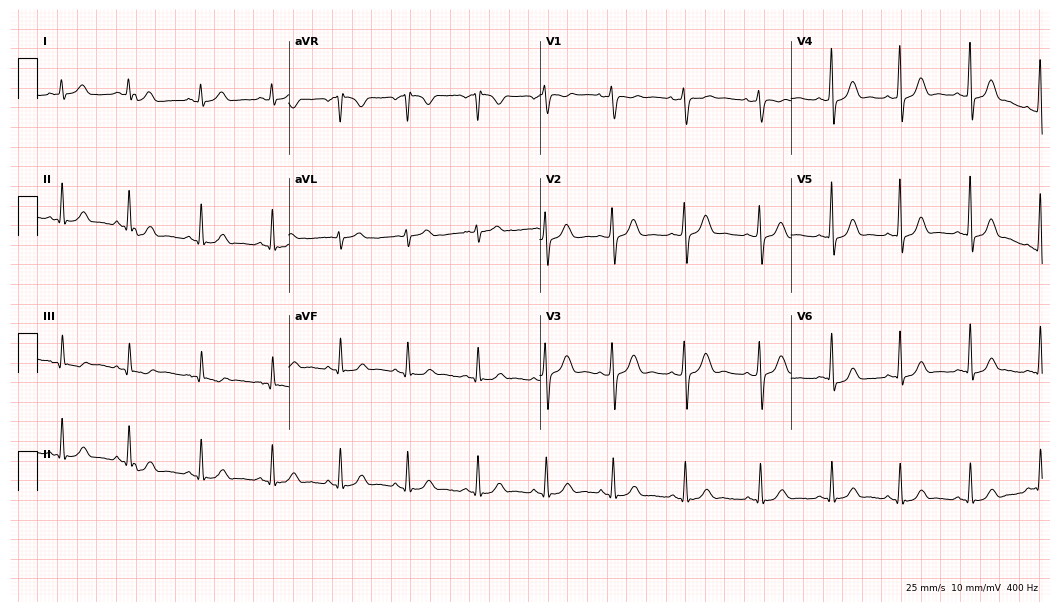
Resting 12-lead electrocardiogram (10.2-second recording at 400 Hz). Patient: a 31-year-old female. Read as a normal ECG.